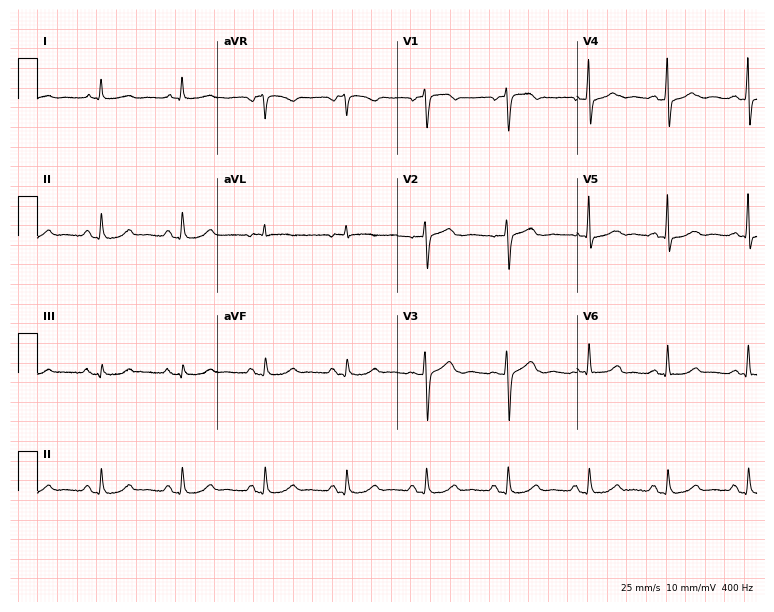
Standard 12-lead ECG recorded from a 65-year-old woman. Read as a normal ECG.